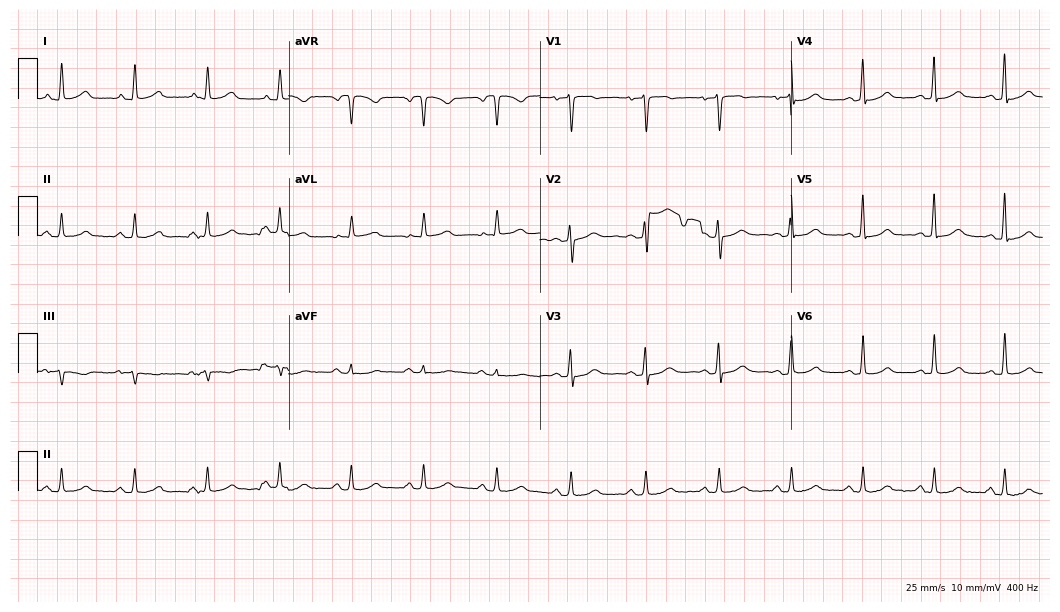
12-lead ECG from a female patient, 50 years old (10.2-second recording at 400 Hz). Recorded interpretation: within normal limits.